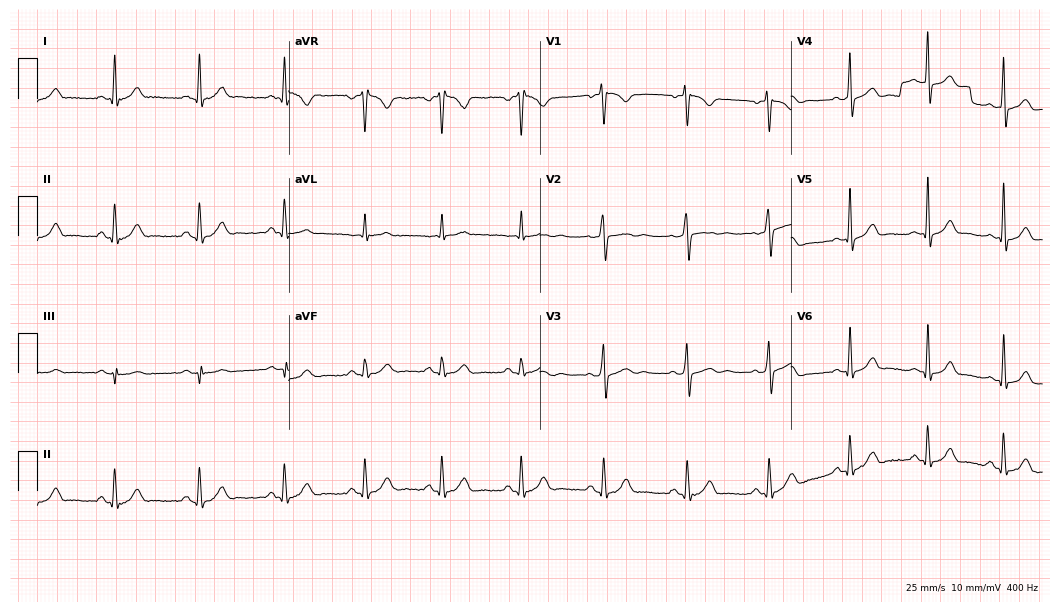
12-lead ECG from a male patient, 35 years old. Labelled as a normal ECG.